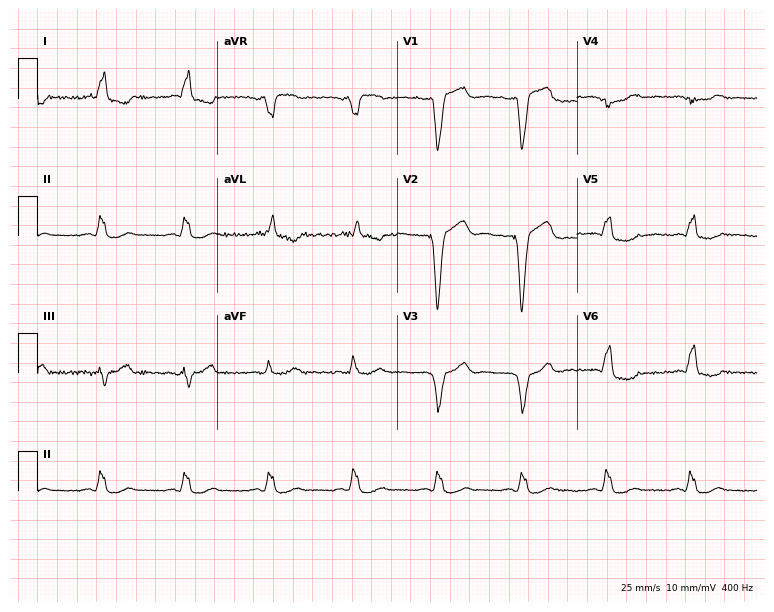
Resting 12-lead electrocardiogram. Patient: a female, 61 years old. None of these six findings is recorded: first-degree AV block, right bundle branch block (RBBB), left bundle branch block (LBBB), sinus bradycardia, atrial fibrillation (AF), sinus tachycardia. Findings outside these six are not listed.